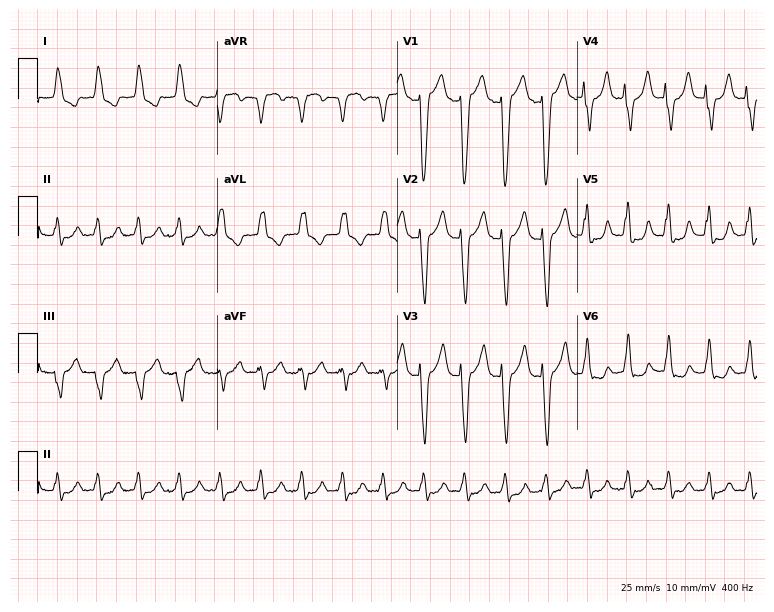
Standard 12-lead ECG recorded from an 81-year-old female patient (7.3-second recording at 400 Hz). The tracing shows sinus tachycardia (a sinus rate of 100 beats per minute or more).